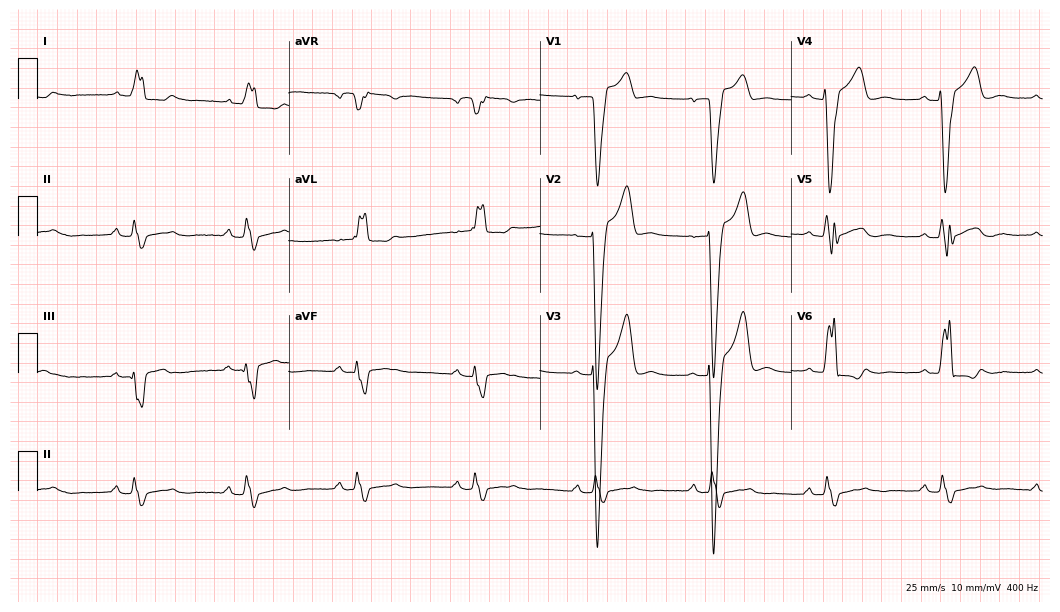
12-lead ECG from a 60-year-old woman. Shows right bundle branch block, left bundle branch block.